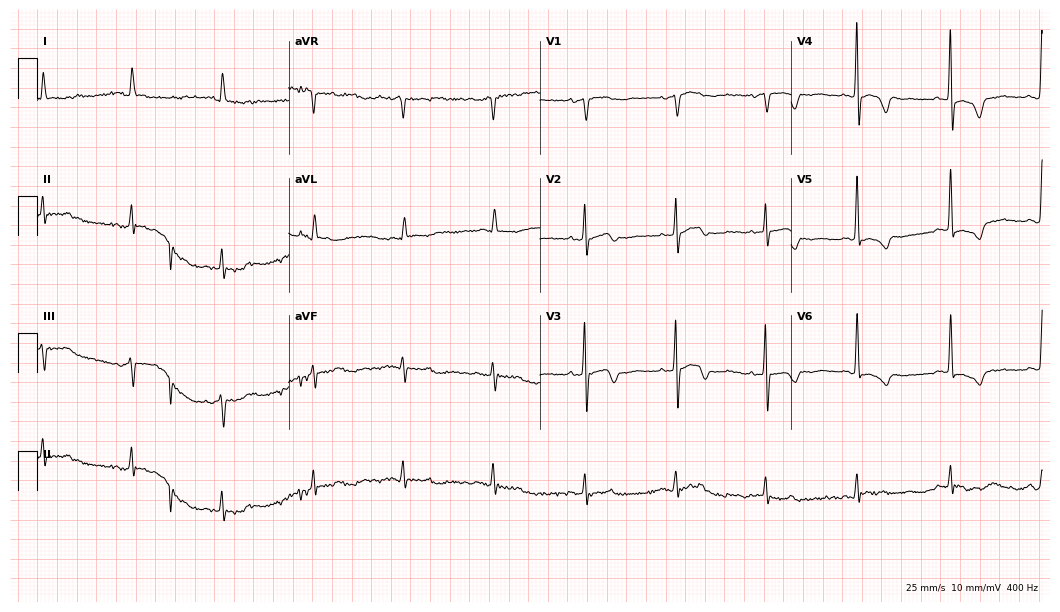
12-lead ECG from a woman, 73 years old (10.2-second recording at 400 Hz). No first-degree AV block, right bundle branch block (RBBB), left bundle branch block (LBBB), sinus bradycardia, atrial fibrillation (AF) or sinus tachycardia recorded for this tracing.